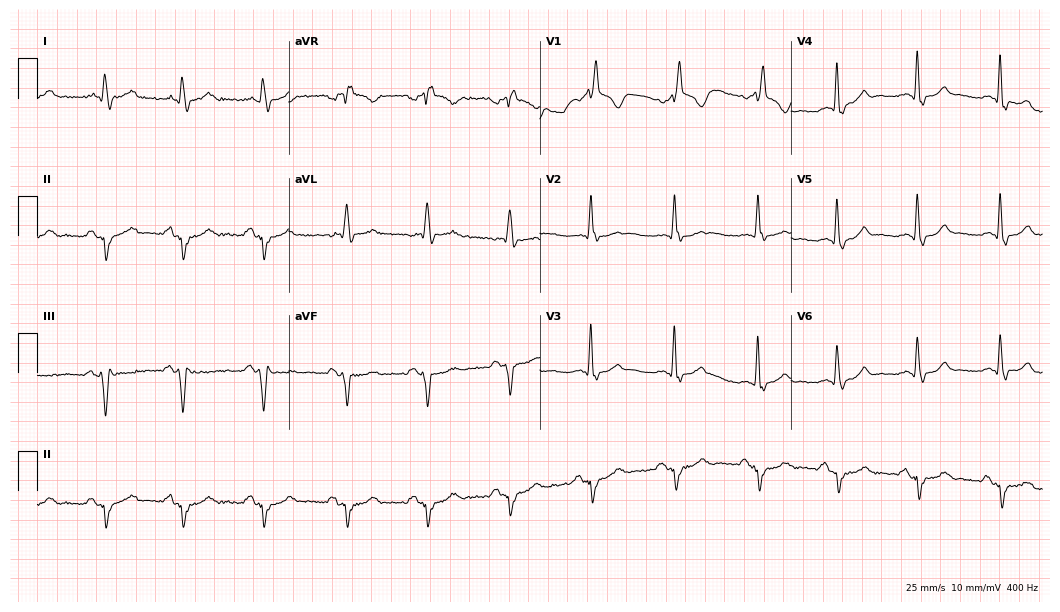
ECG — an 82-year-old male. Findings include right bundle branch block.